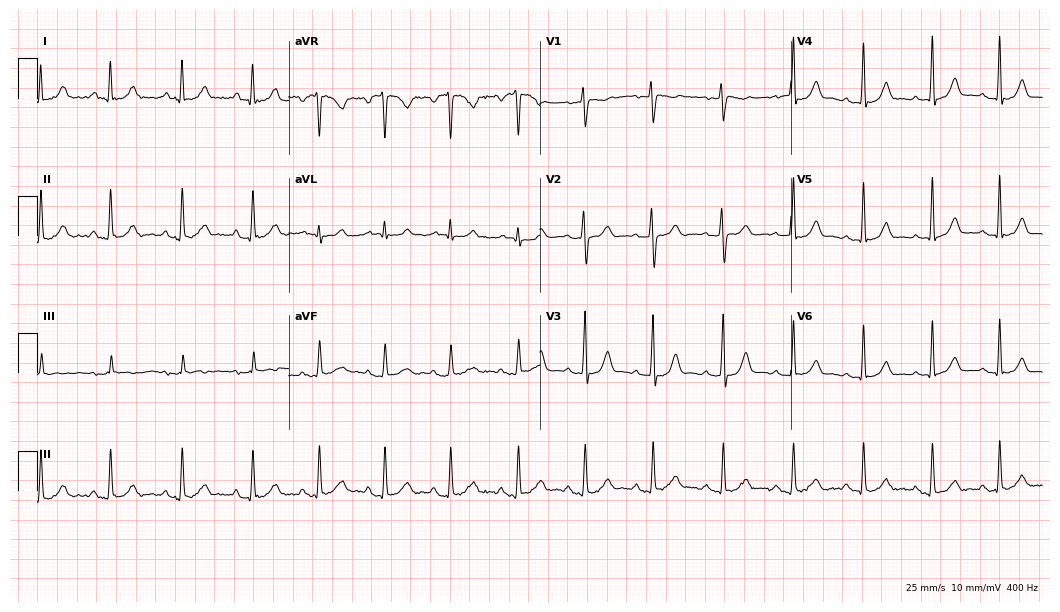
Standard 12-lead ECG recorded from a female patient, 29 years old. Read as a normal ECG.